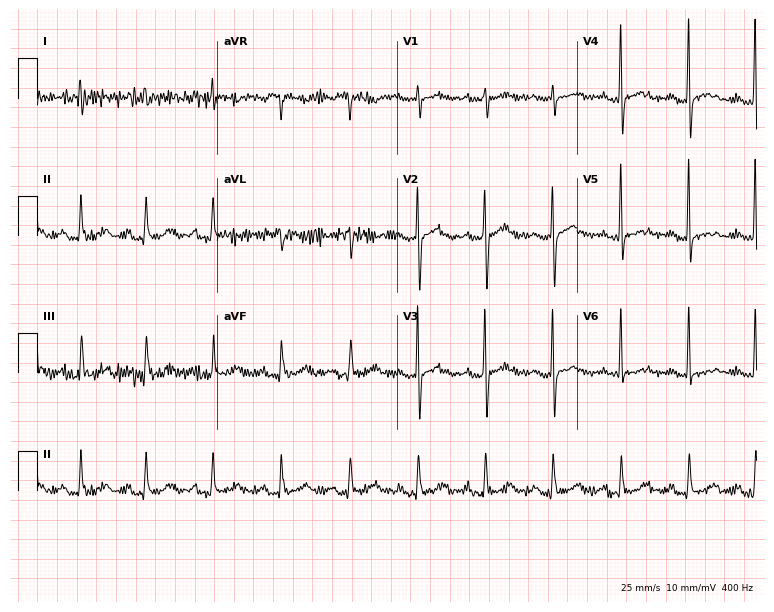
12-lead ECG from a female patient, 65 years old. Labelled as a normal ECG.